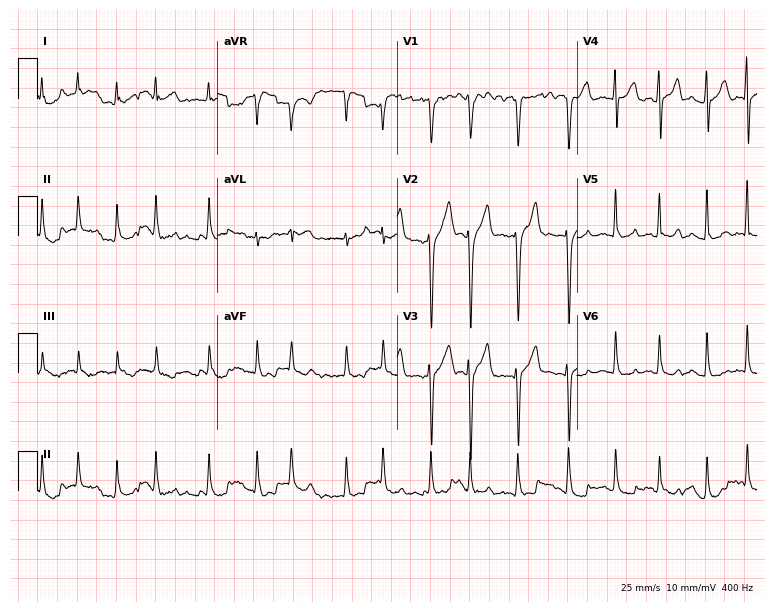
ECG — a male patient, 43 years old. Findings include atrial fibrillation (AF).